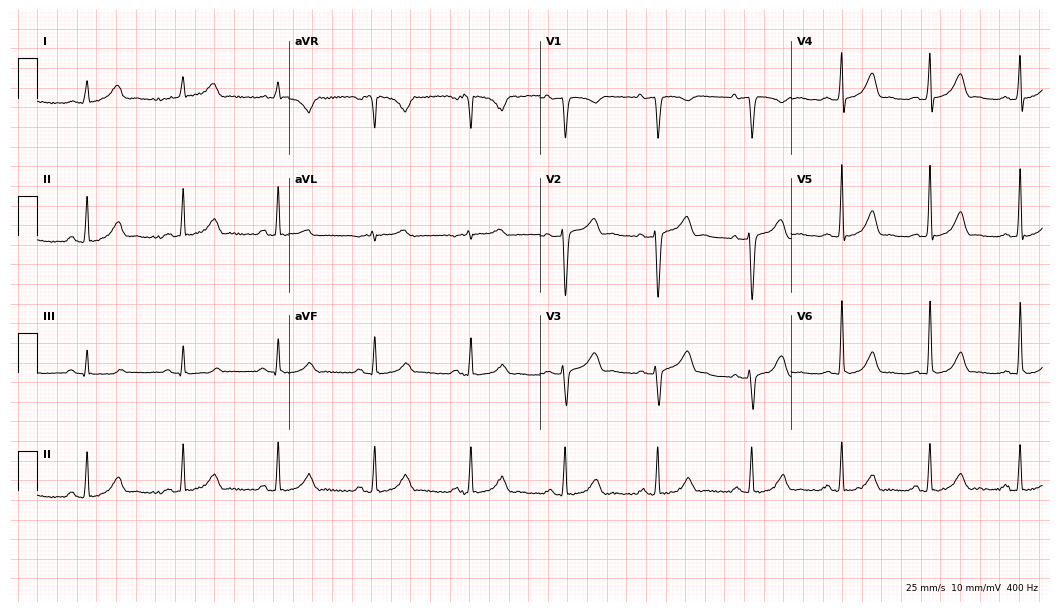
12-lead ECG (10.2-second recording at 400 Hz) from a woman, 50 years old. Labelled as a normal ECG.